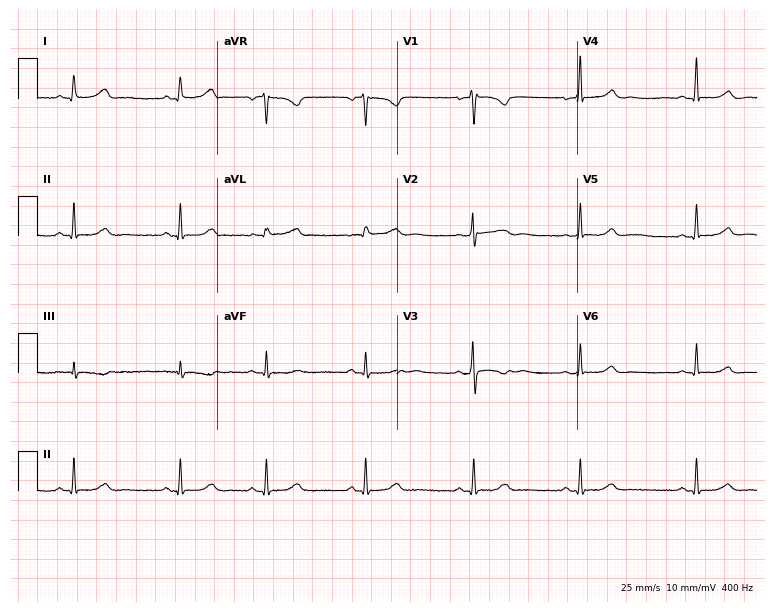
ECG — a 47-year-old woman. Labelled as a normal ECG.